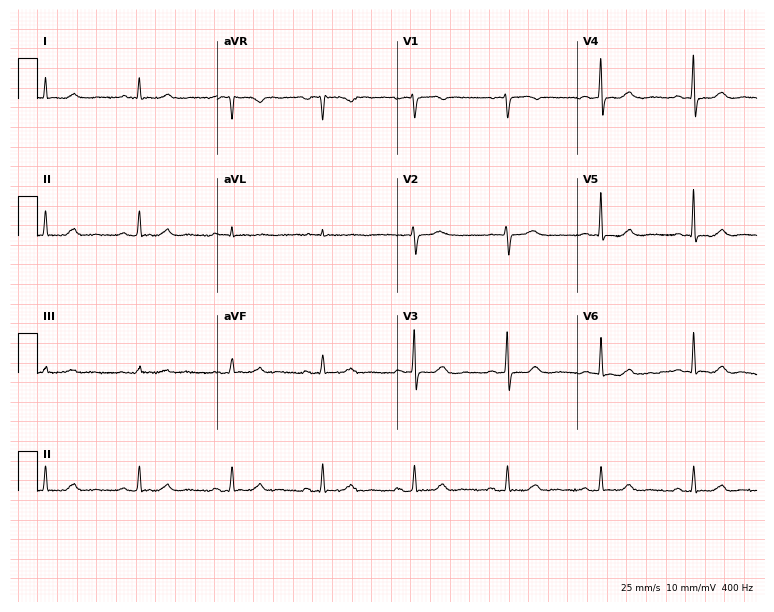
ECG — a woman, 84 years old. Labelled as a normal ECG.